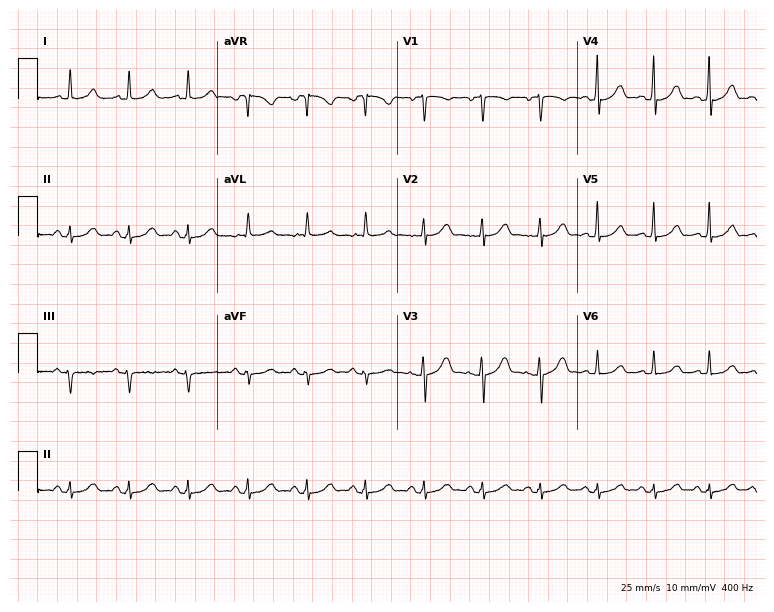
Electrocardiogram, a woman, 34 years old. Interpretation includes sinus tachycardia (a sinus rate of 100 beats per minute or more).